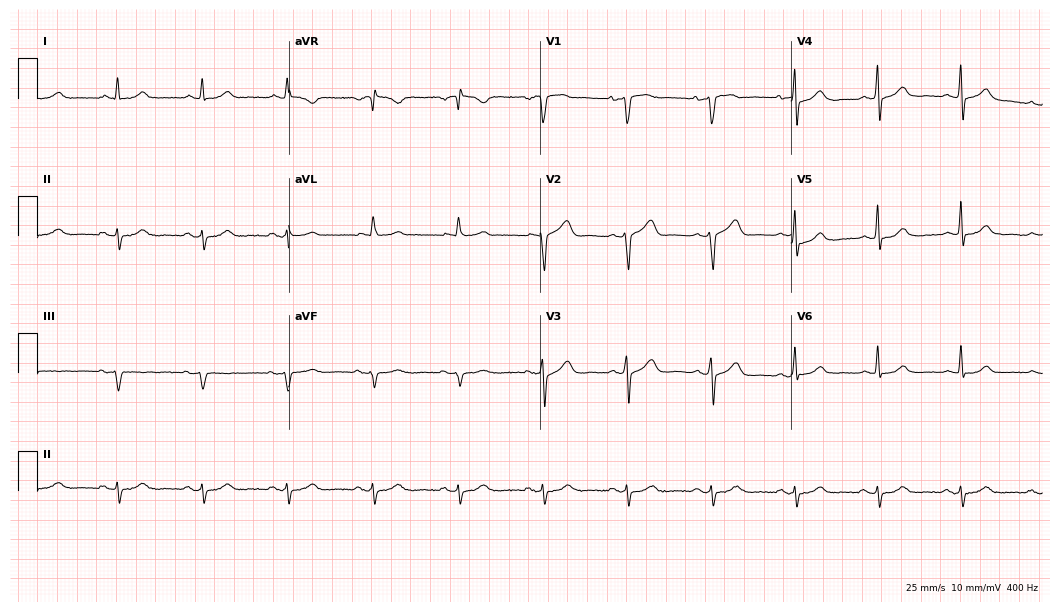
Electrocardiogram, a 68-year-old man. Of the six screened findings (first-degree AV block, right bundle branch block (RBBB), left bundle branch block (LBBB), sinus bradycardia, atrial fibrillation (AF), sinus tachycardia), none is recorded. Other findings, if any, are not listed.